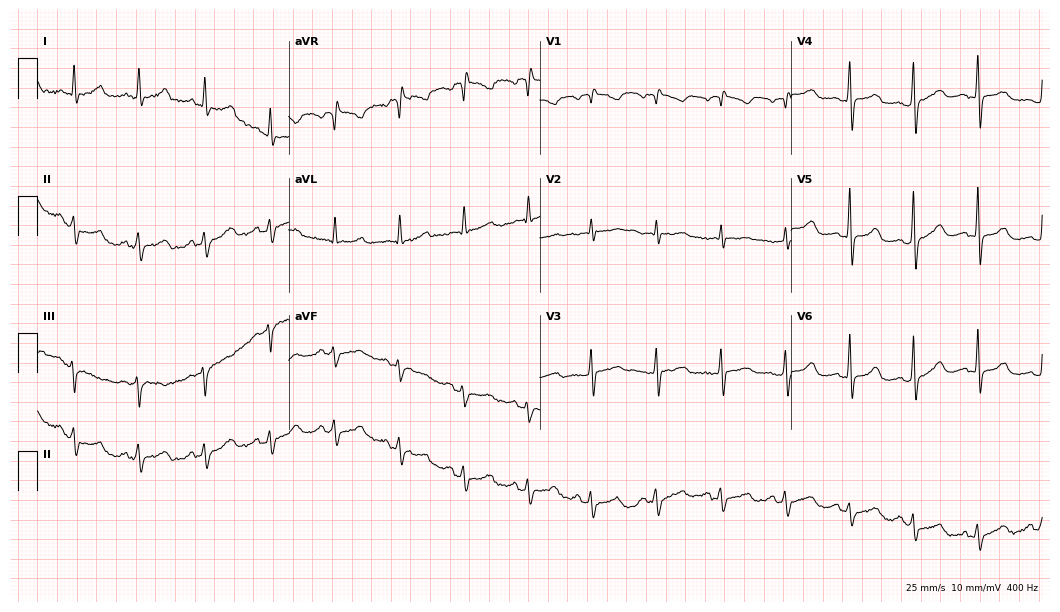
Electrocardiogram (10.2-second recording at 400 Hz), a 62-year-old female patient. Of the six screened findings (first-degree AV block, right bundle branch block, left bundle branch block, sinus bradycardia, atrial fibrillation, sinus tachycardia), none is recorded. Only these six findings were labelled.